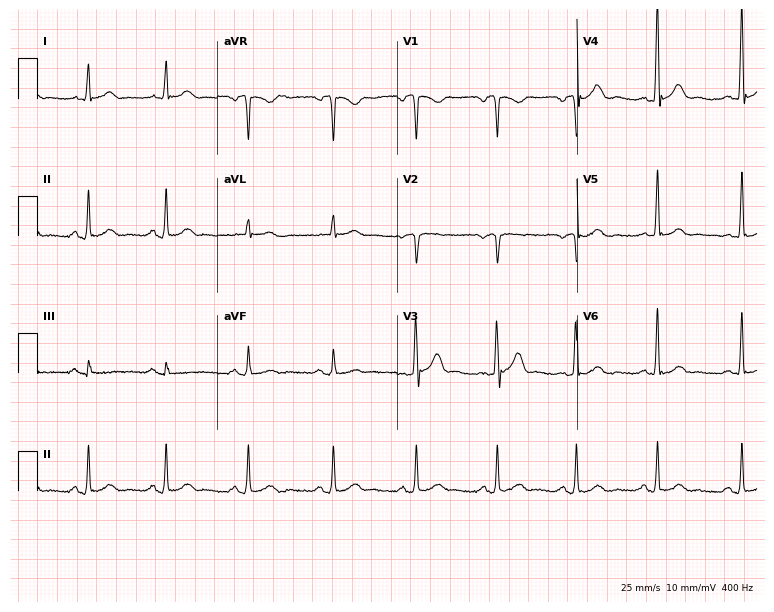
ECG (7.3-second recording at 400 Hz) — a male patient, 55 years old. Screened for six findings — first-degree AV block, right bundle branch block (RBBB), left bundle branch block (LBBB), sinus bradycardia, atrial fibrillation (AF), sinus tachycardia — none is recorded.